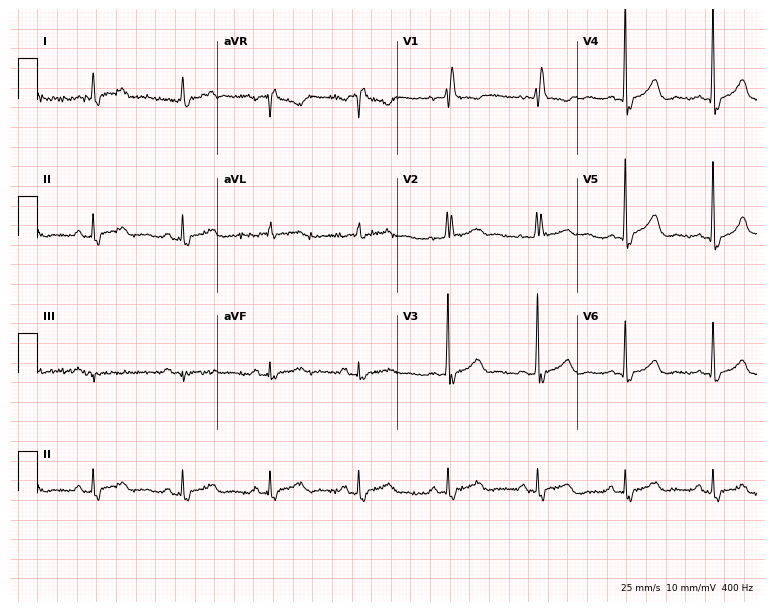
12-lead ECG from a female, 59 years old. Shows right bundle branch block.